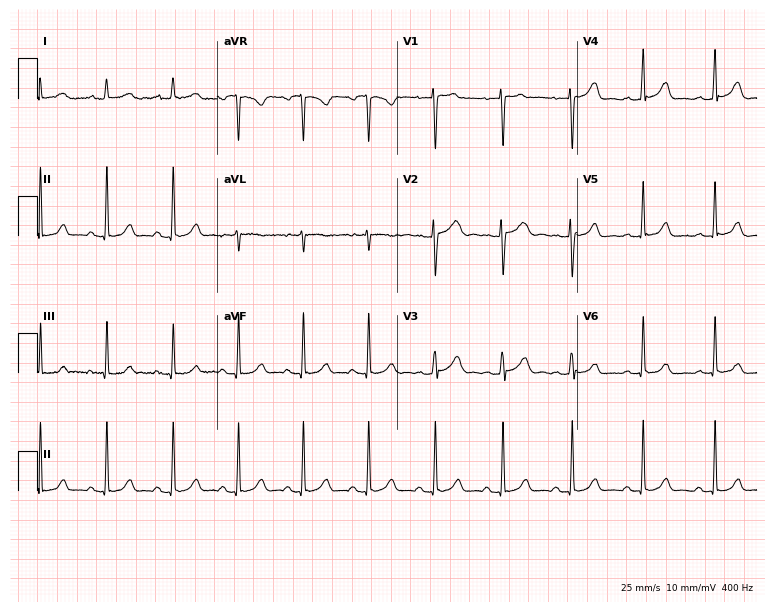
Standard 12-lead ECG recorded from a 28-year-old woman. None of these six findings is recorded: first-degree AV block, right bundle branch block, left bundle branch block, sinus bradycardia, atrial fibrillation, sinus tachycardia. Other findings, if any, are not listed.